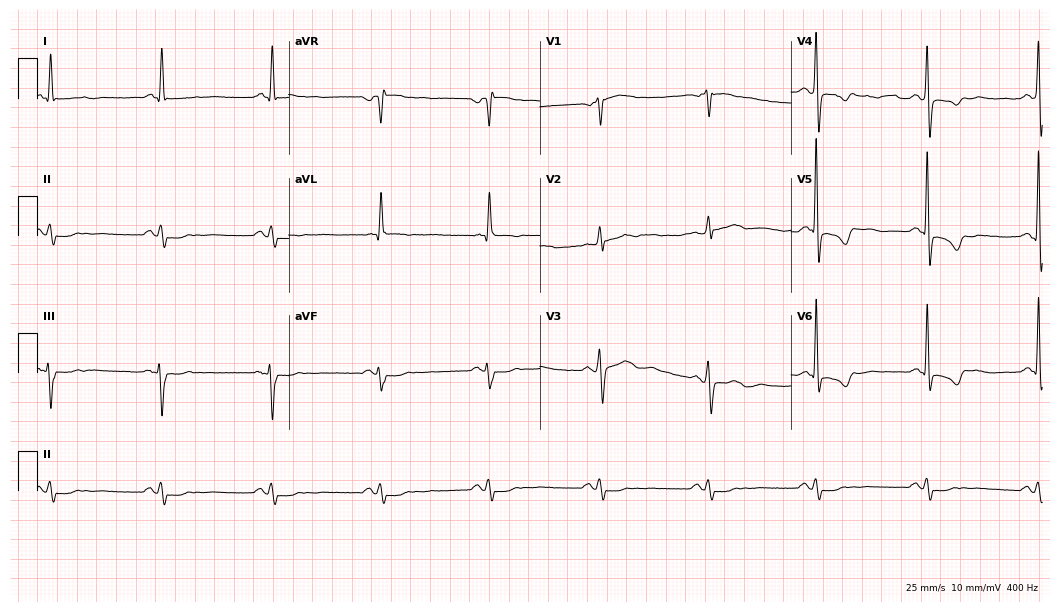
12-lead ECG (10.2-second recording at 400 Hz) from a 64-year-old male. Screened for six findings — first-degree AV block, right bundle branch block, left bundle branch block, sinus bradycardia, atrial fibrillation, sinus tachycardia — none is recorded.